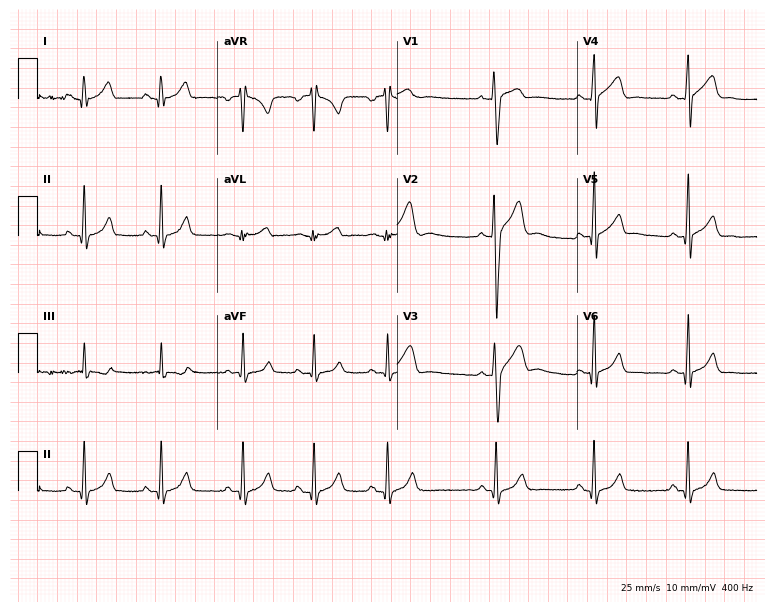
Standard 12-lead ECG recorded from a 19-year-old man. Read as a normal ECG.